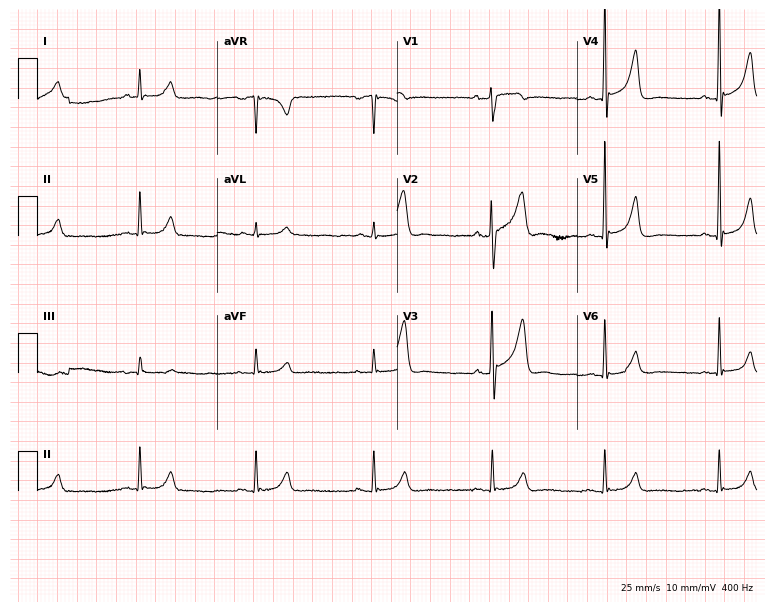
12-lead ECG from a 63-year-old male patient. Screened for six findings — first-degree AV block, right bundle branch block (RBBB), left bundle branch block (LBBB), sinus bradycardia, atrial fibrillation (AF), sinus tachycardia — none is recorded. Only these six findings were labelled.